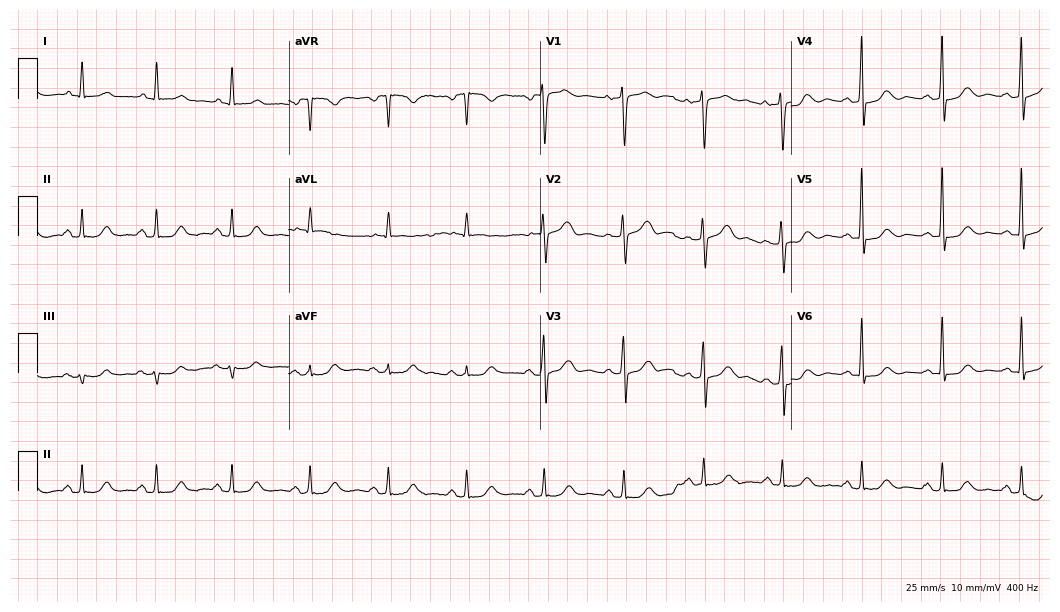
Resting 12-lead electrocardiogram (10.2-second recording at 400 Hz). Patient: a female, 64 years old. Read as a normal ECG.